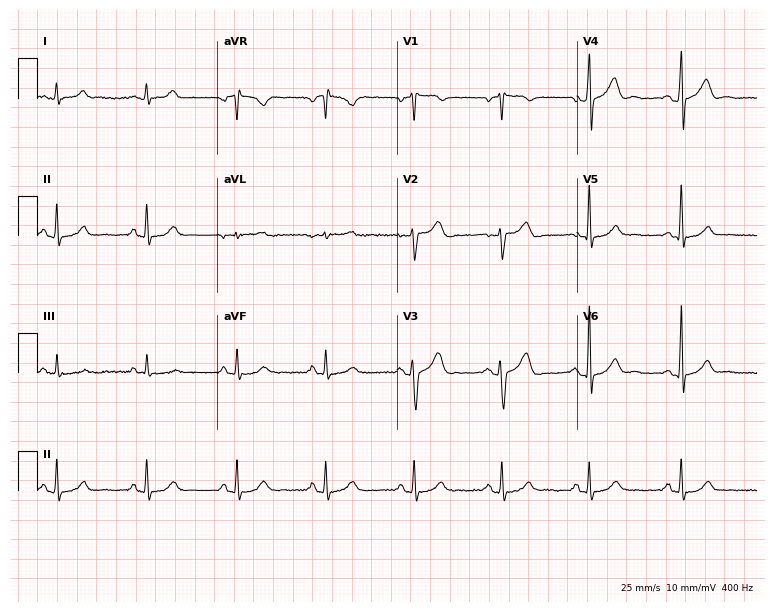
ECG (7.3-second recording at 400 Hz) — a 46-year-old male. Labelled as a normal ECG.